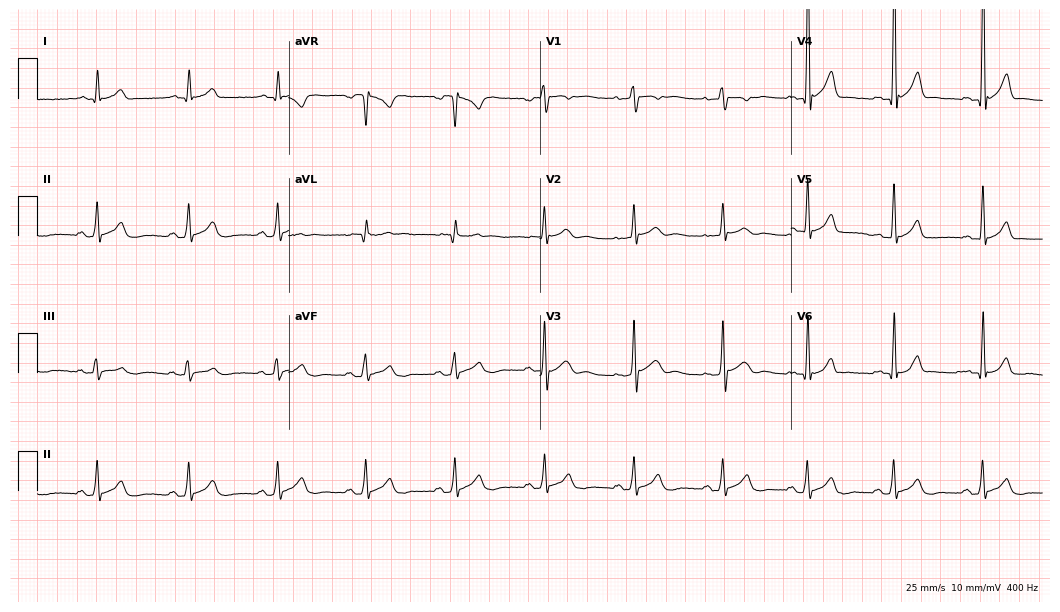
Standard 12-lead ECG recorded from a man, 28 years old (10.2-second recording at 400 Hz). Read as a normal ECG.